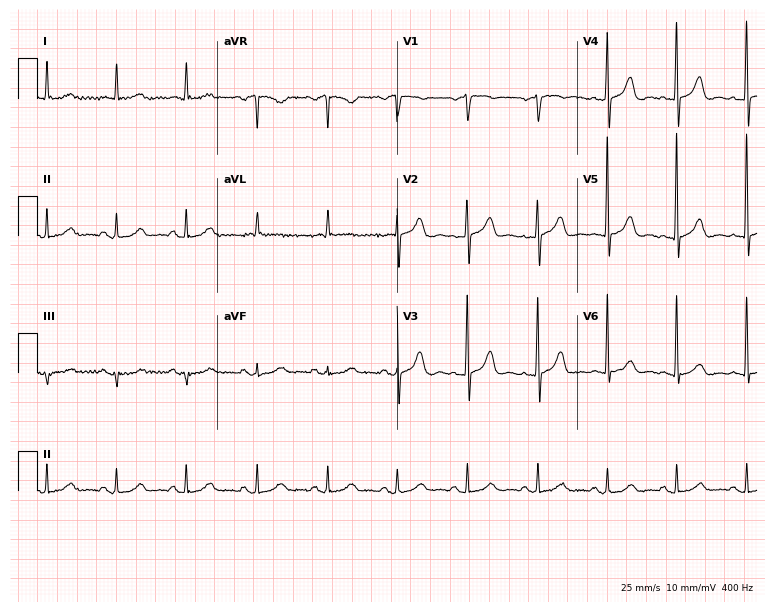
12-lead ECG from a female, 84 years old (7.3-second recording at 400 Hz). No first-degree AV block, right bundle branch block (RBBB), left bundle branch block (LBBB), sinus bradycardia, atrial fibrillation (AF) or sinus tachycardia recorded for this tracing. Findings outside these six are not listed.